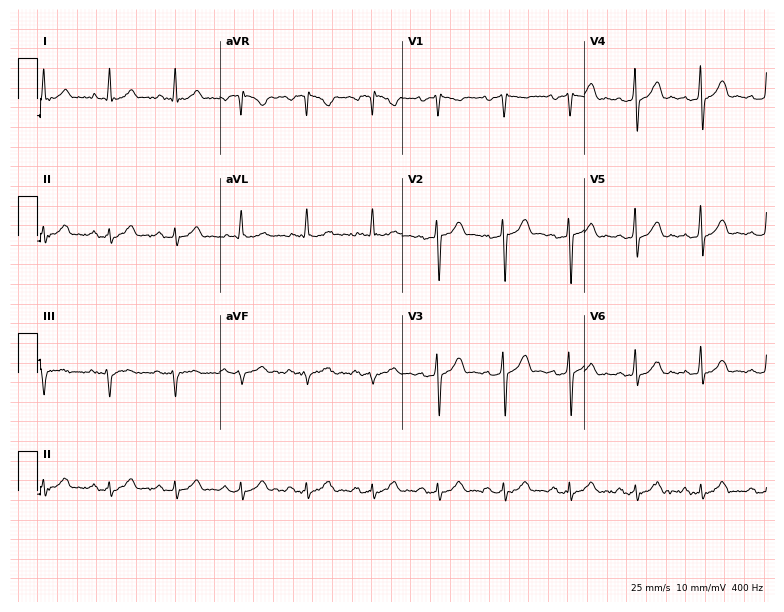
Standard 12-lead ECG recorded from a 76-year-old male (7.4-second recording at 400 Hz). None of these six findings is recorded: first-degree AV block, right bundle branch block, left bundle branch block, sinus bradycardia, atrial fibrillation, sinus tachycardia. Findings outside these six are not listed.